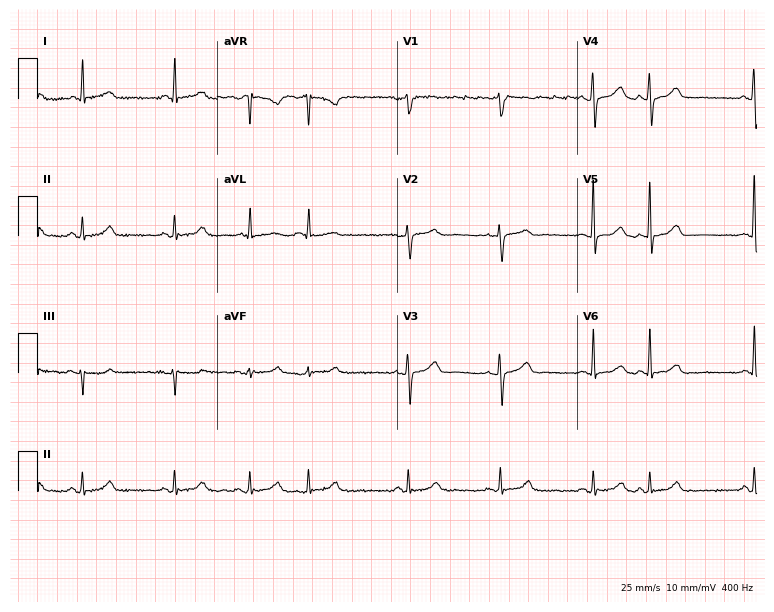
12-lead ECG from a woman, 82 years old. Screened for six findings — first-degree AV block, right bundle branch block (RBBB), left bundle branch block (LBBB), sinus bradycardia, atrial fibrillation (AF), sinus tachycardia — none is recorded.